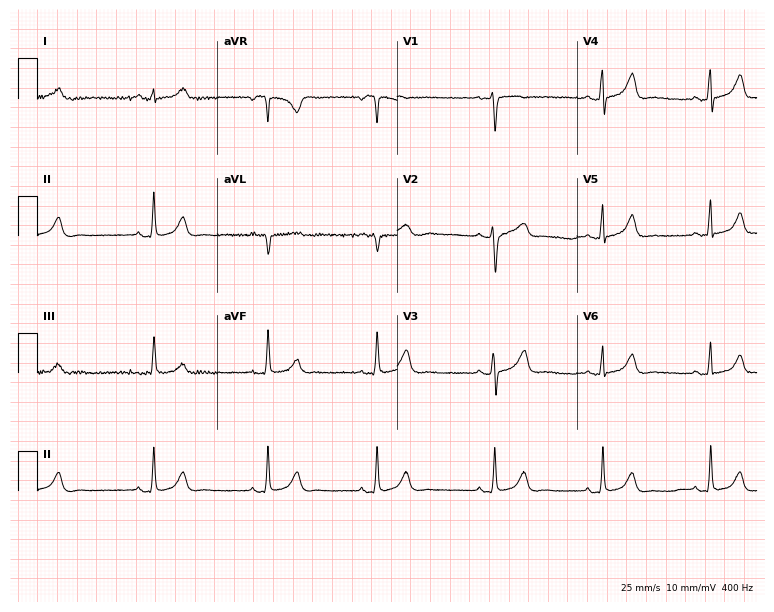
Standard 12-lead ECG recorded from a woman, 29 years old. Read as a normal ECG.